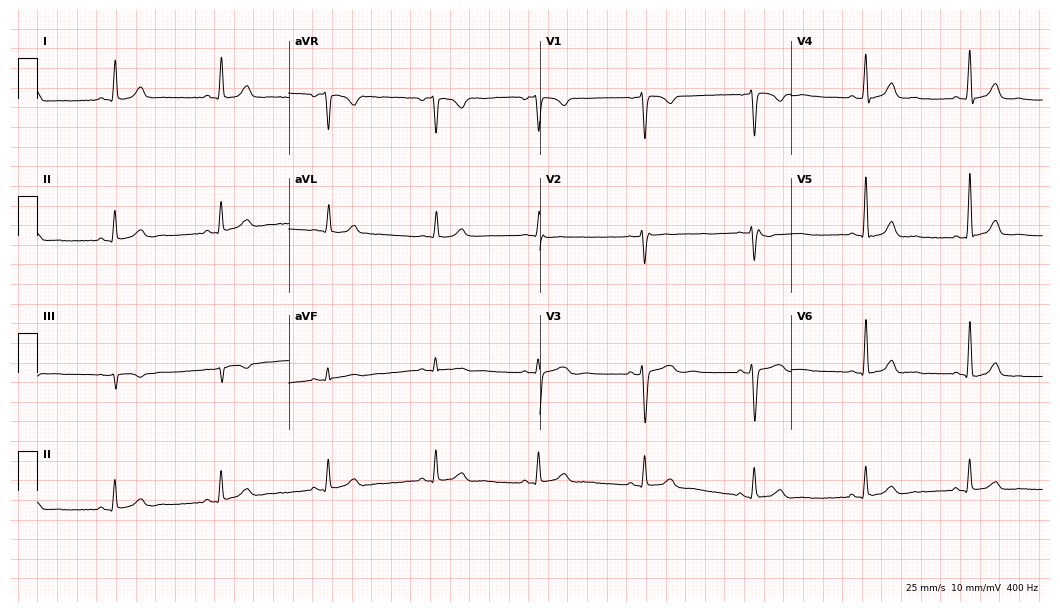
Resting 12-lead electrocardiogram (10.2-second recording at 400 Hz). Patient: a female, 47 years old. Read as a normal ECG.